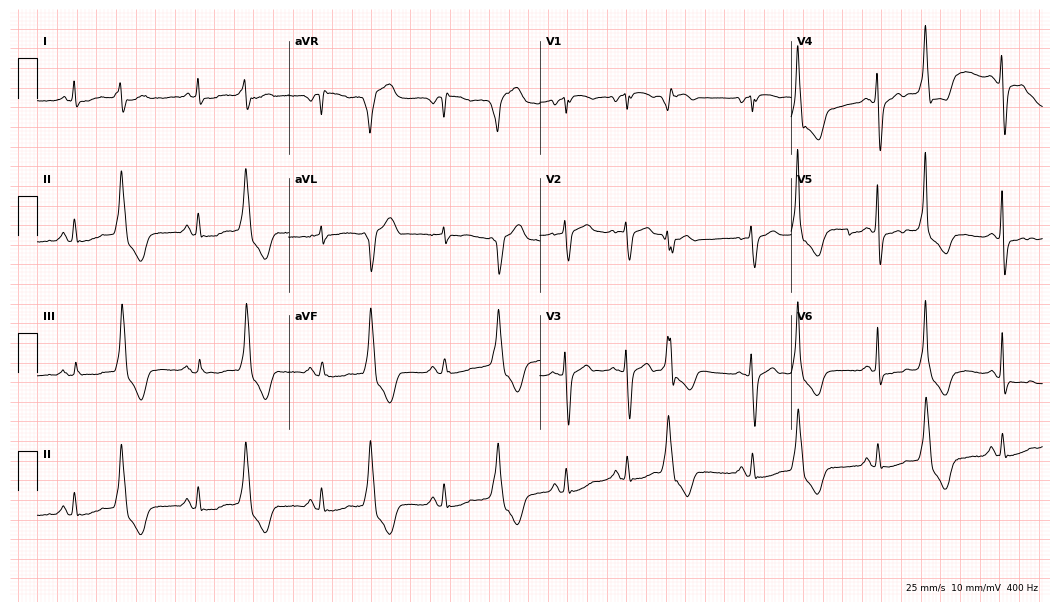
Electrocardiogram, a female patient, 78 years old. Of the six screened findings (first-degree AV block, right bundle branch block (RBBB), left bundle branch block (LBBB), sinus bradycardia, atrial fibrillation (AF), sinus tachycardia), none is recorded.